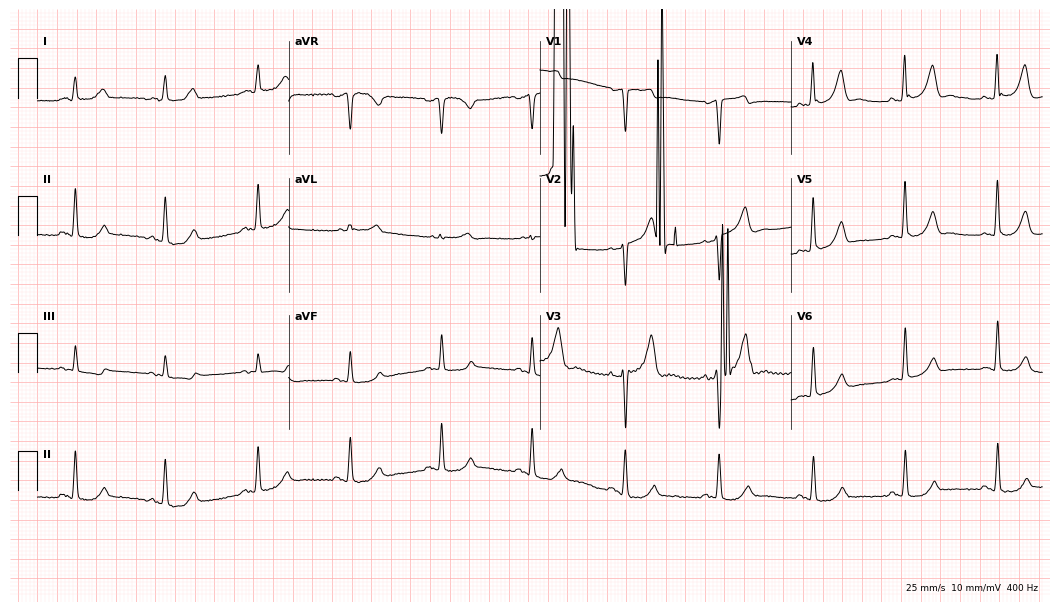
Standard 12-lead ECG recorded from a 75-year-old man (10.2-second recording at 400 Hz). None of these six findings is recorded: first-degree AV block, right bundle branch block (RBBB), left bundle branch block (LBBB), sinus bradycardia, atrial fibrillation (AF), sinus tachycardia. Findings outside these six are not listed.